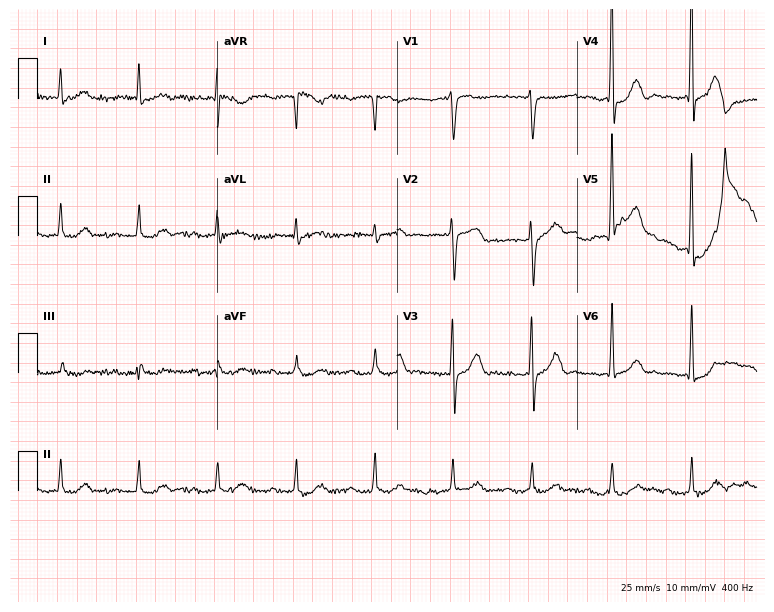
12-lead ECG from a male patient, 84 years old. Shows first-degree AV block.